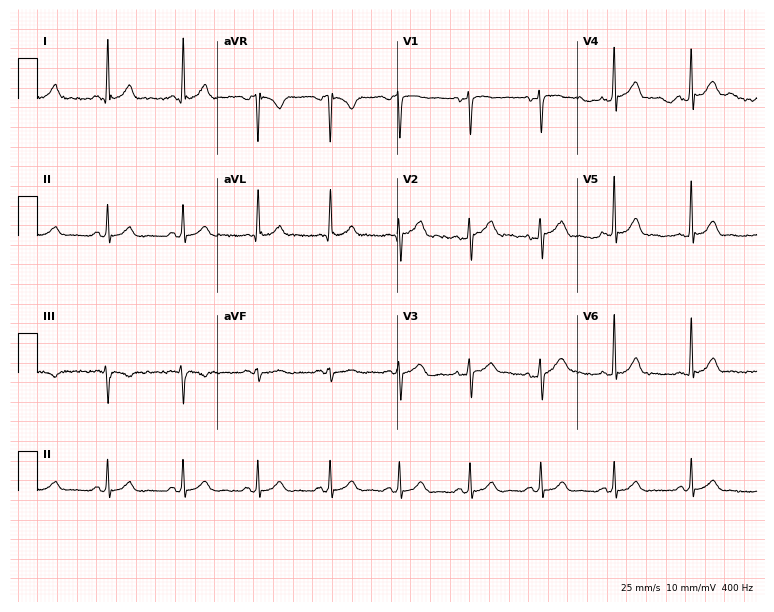
ECG — a 48-year-old male. Labelled as a normal ECG.